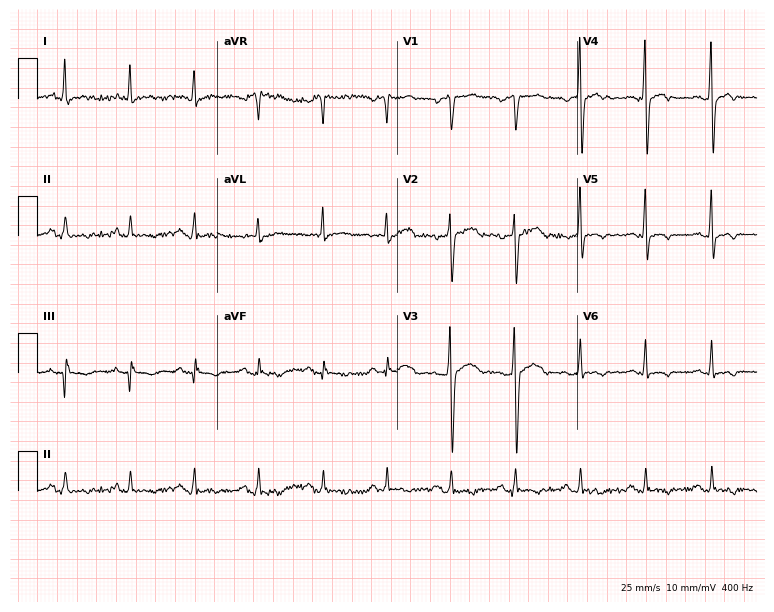
Resting 12-lead electrocardiogram (7.3-second recording at 400 Hz). Patient: a 45-year-old man. None of these six findings is recorded: first-degree AV block, right bundle branch block, left bundle branch block, sinus bradycardia, atrial fibrillation, sinus tachycardia.